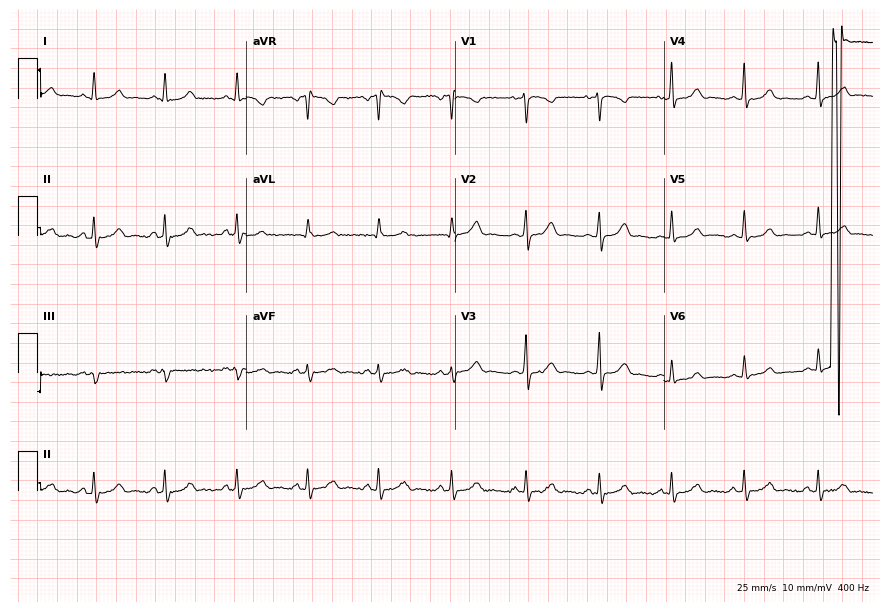
12-lead ECG (8.5-second recording at 400 Hz) from a female patient, 17 years old. Labelled as a normal ECG.